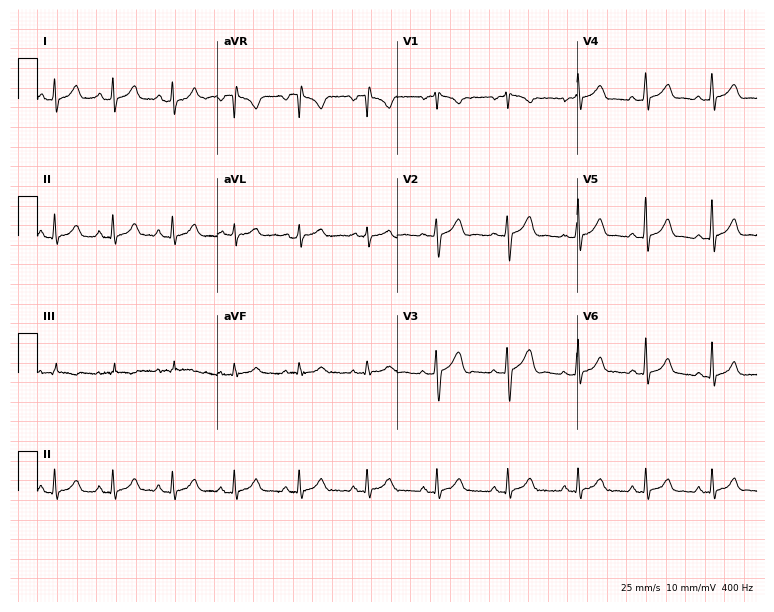
12-lead ECG (7.3-second recording at 400 Hz) from a 32-year-old male patient. Labelled as a normal ECG.